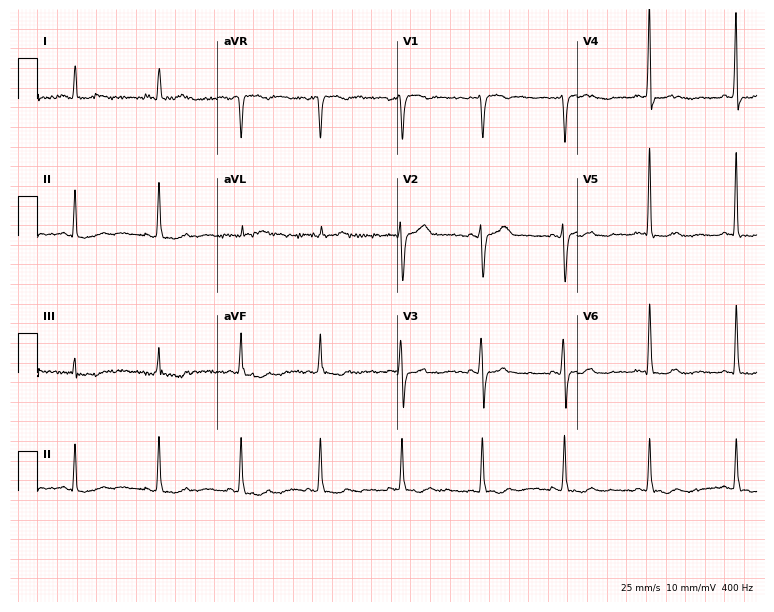
12-lead ECG (7.3-second recording at 400 Hz) from a female patient, 67 years old. Screened for six findings — first-degree AV block, right bundle branch block (RBBB), left bundle branch block (LBBB), sinus bradycardia, atrial fibrillation (AF), sinus tachycardia — none is recorded. Findings outside these six are not listed.